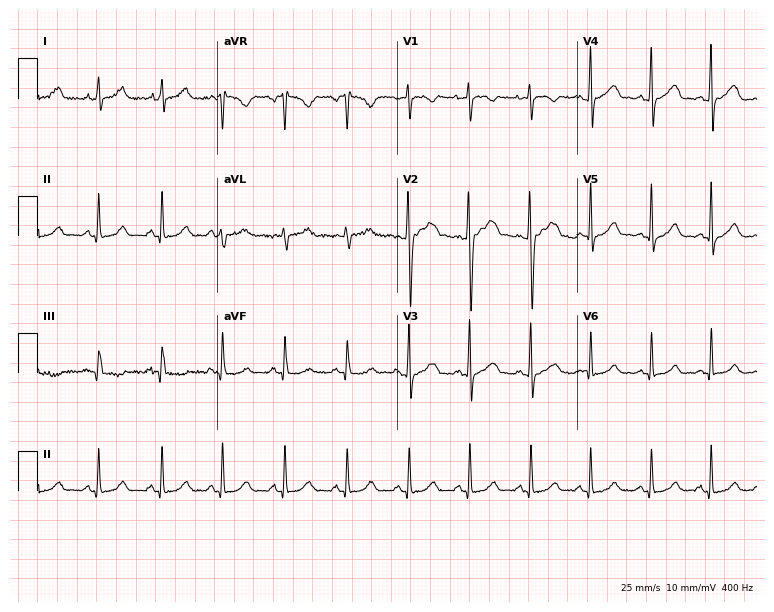
12-lead ECG from a female patient, 32 years old. Labelled as a normal ECG.